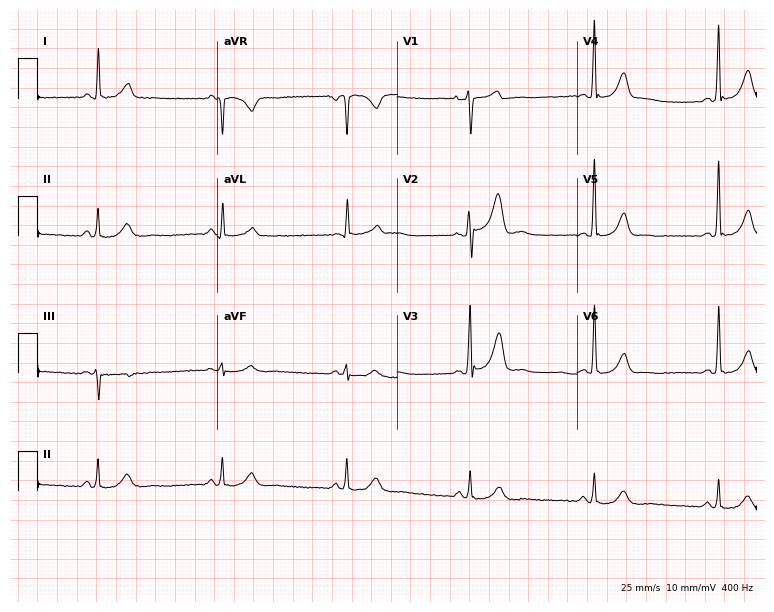
12-lead ECG from a male, 61 years old (7.3-second recording at 400 Hz). Shows sinus bradycardia (a sinus rate of 50 beats per minute or less).